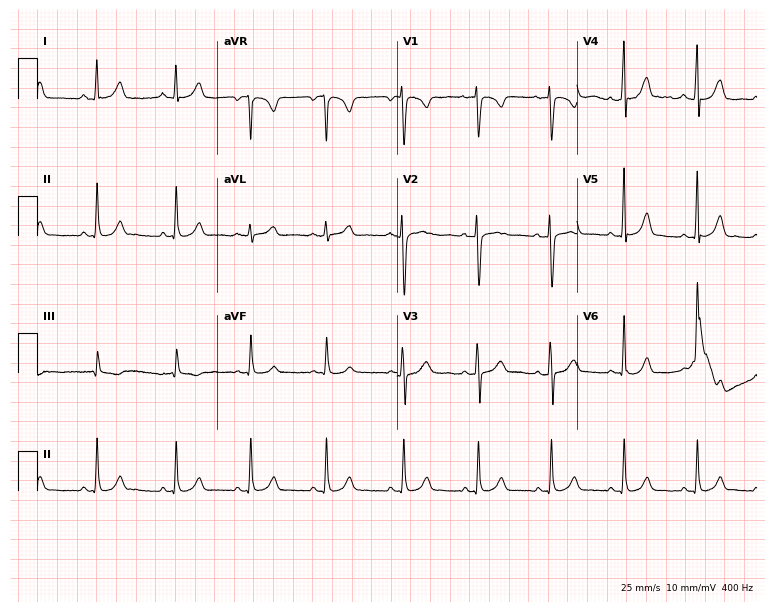
12-lead ECG from a female, 26 years old. No first-degree AV block, right bundle branch block, left bundle branch block, sinus bradycardia, atrial fibrillation or sinus tachycardia recorded for this tracing. Findings outside these six are not listed.